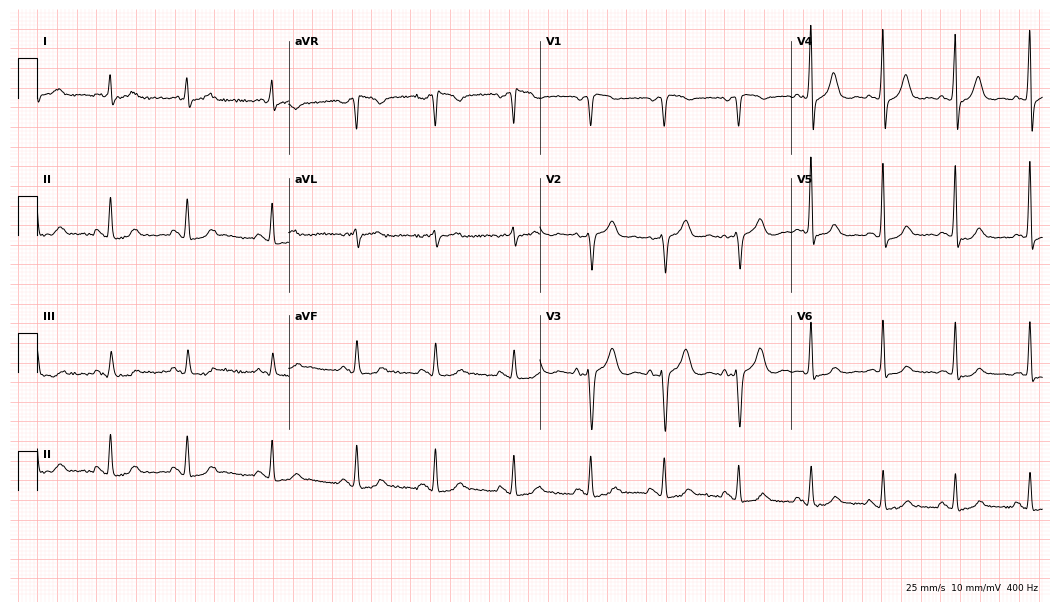
ECG (10.2-second recording at 400 Hz) — a 67-year-old female. Labelled as a normal ECG.